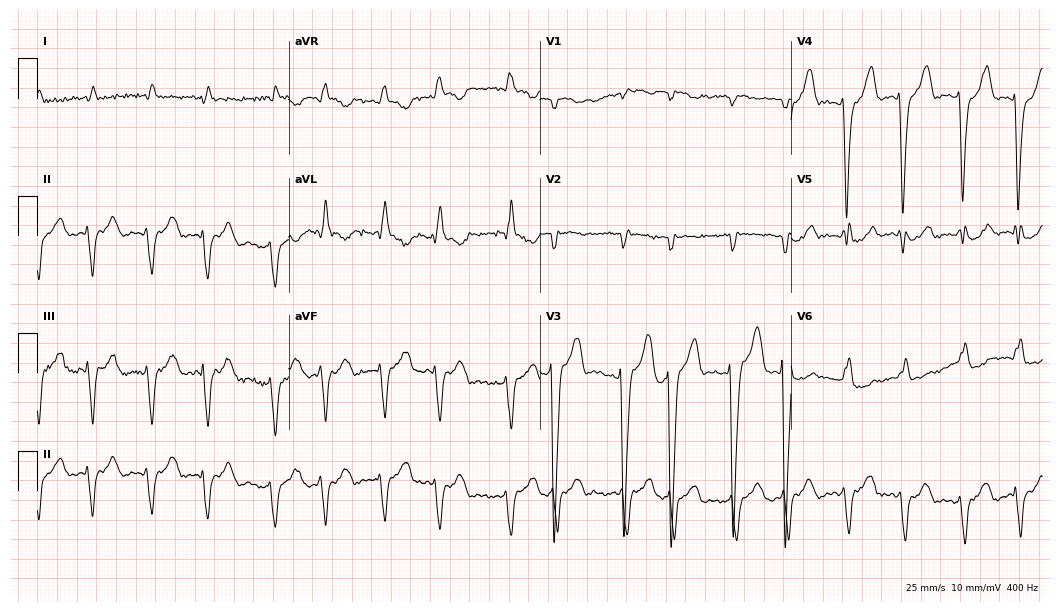
Electrocardiogram, a female patient, 75 years old. Of the six screened findings (first-degree AV block, right bundle branch block, left bundle branch block, sinus bradycardia, atrial fibrillation, sinus tachycardia), none is recorded. Findings outside these six are not listed.